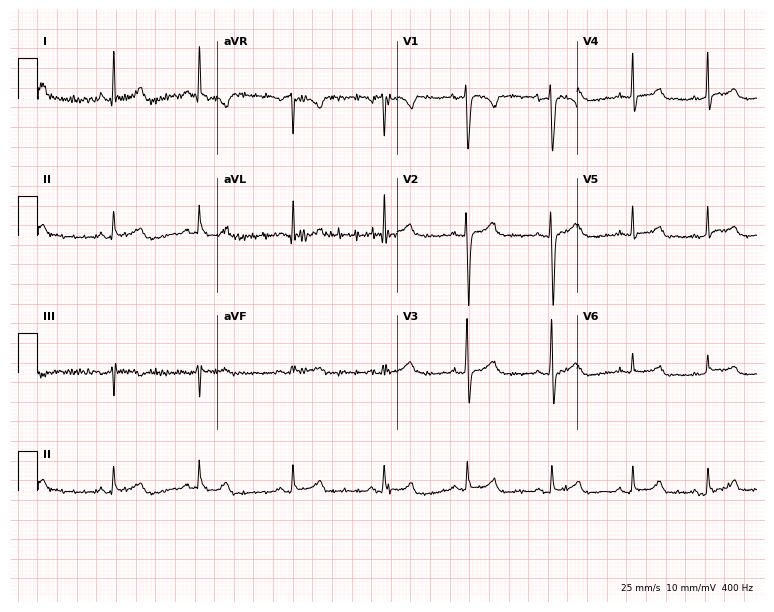
12-lead ECG (7.3-second recording at 400 Hz) from a female patient, 27 years old. Screened for six findings — first-degree AV block, right bundle branch block (RBBB), left bundle branch block (LBBB), sinus bradycardia, atrial fibrillation (AF), sinus tachycardia — none is recorded. Findings outside these six are not listed.